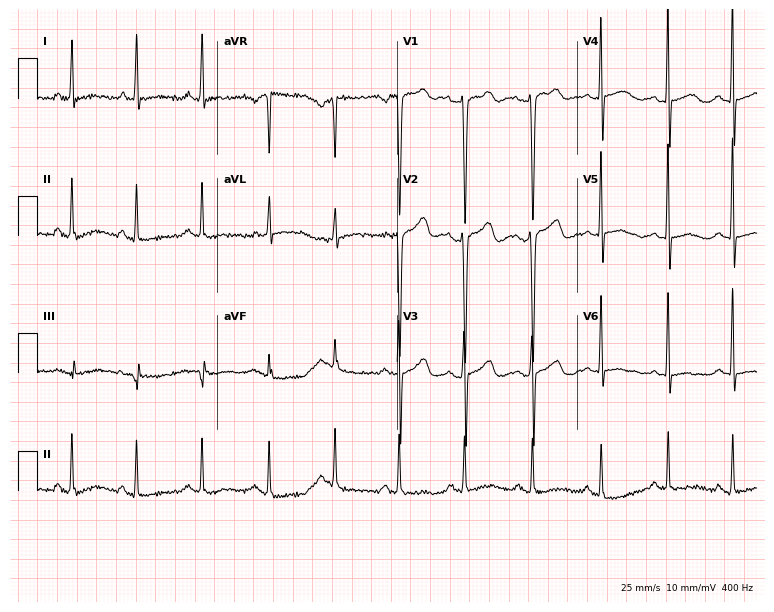
Standard 12-lead ECG recorded from a 35-year-old female (7.3-second recording at 400 Hz). None of these six findings is recorded: first-degree AV block, right bundle branch block, left bundle branch block, sinus bradycardia, atrial fibrillation, sinus tachycardia.